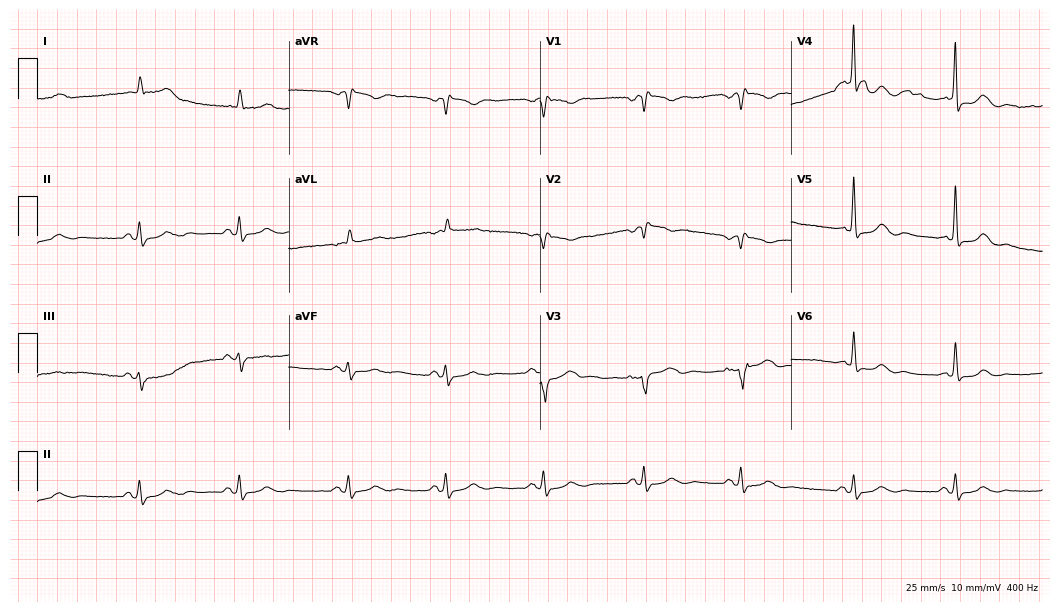
Resting 12-lead electrocardiogram (10.2-second recording at 400 Hz). Patient: a 78-year-old female. None of these six findings is recorded: first-degree AV block, right bundle branch block, left bundle branch block, sinus bradycardia, atrial fibrillation, sinus tachycardia. Only these six findings were labelled.